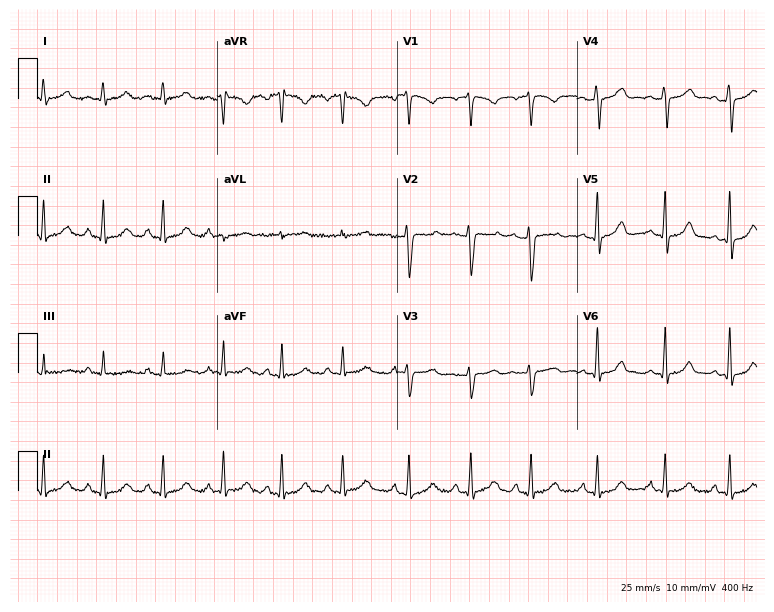
Resting 12-lead electrocardiogram (7.3-second recording at 400 Hz). Patient: a 42-year-old female. Read as a normal ECG.